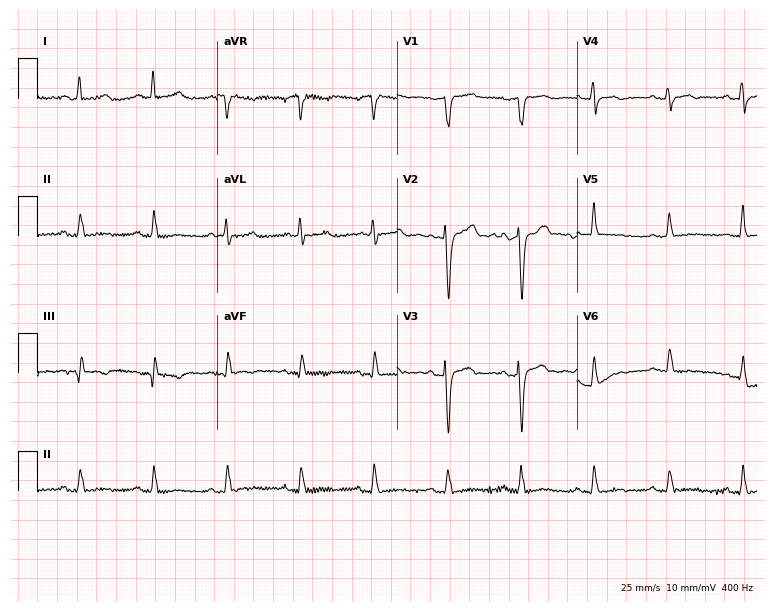
ECG — a female, 81 years old. Screened for six findings — first-degree AV block, right bundle branch block (RBBB), left bundle branch block (LBBB), sinus bradycardia, atrial fibrillation (AF), sinus tachycardia — none is recorded. Findings outside these six are not listed.